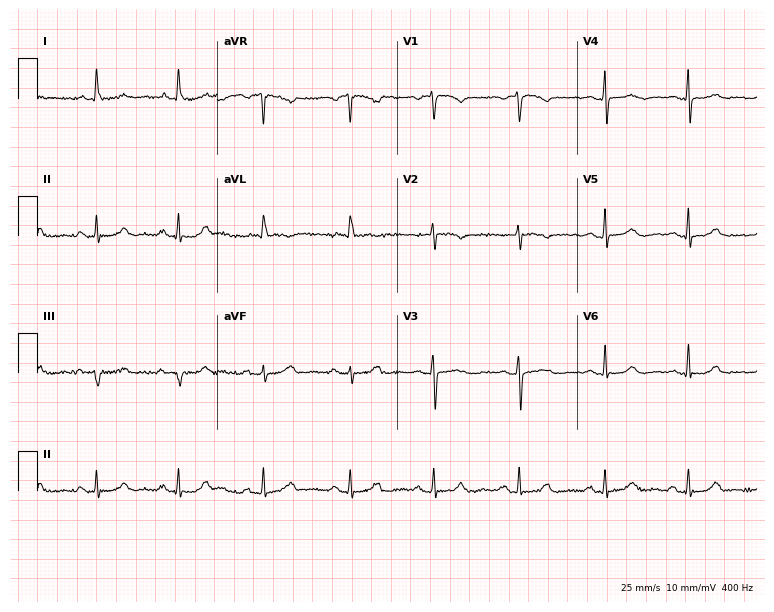
ECG (7.3-second recording at 400 Hz) — a 74-year-old female. Labelled as a normal ECG.